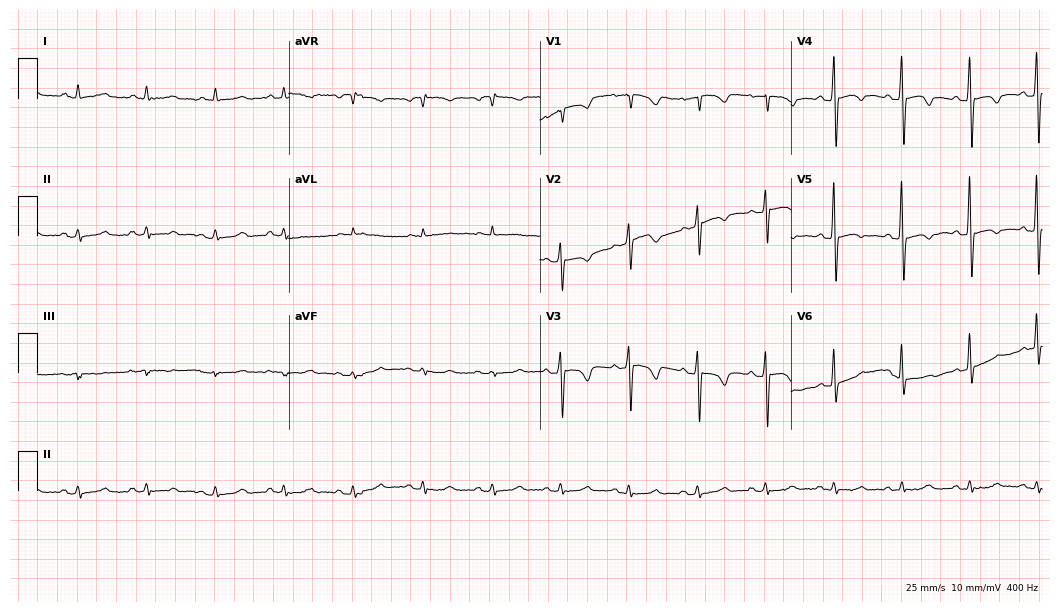
12-lead ECG from an 85-year-old male patient. Screened for six findings — first-degree AV block, right bundle branch block (RBBB), left bundle branch block (LBBB), sinus bradycardia, atrial fibrillation (AF), sinus tachycardia — none is recorded.